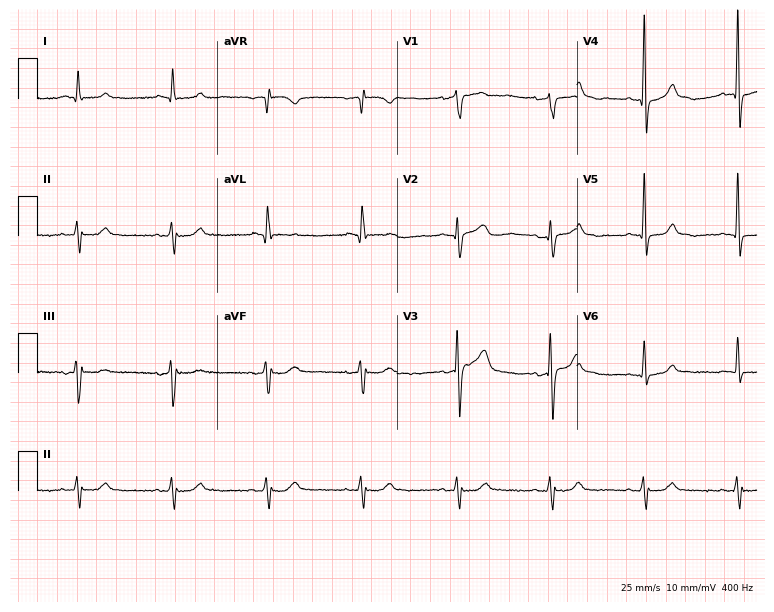
12-lead ECG (7.3-second recording at 400 Hz) from a 69-year-old male. Screened for six findings — first-degree AV block, right bundle branch block, left bundle branch block, sinus bradycardia, atrial fibrillation, sinus tachycardia — none is recorded.